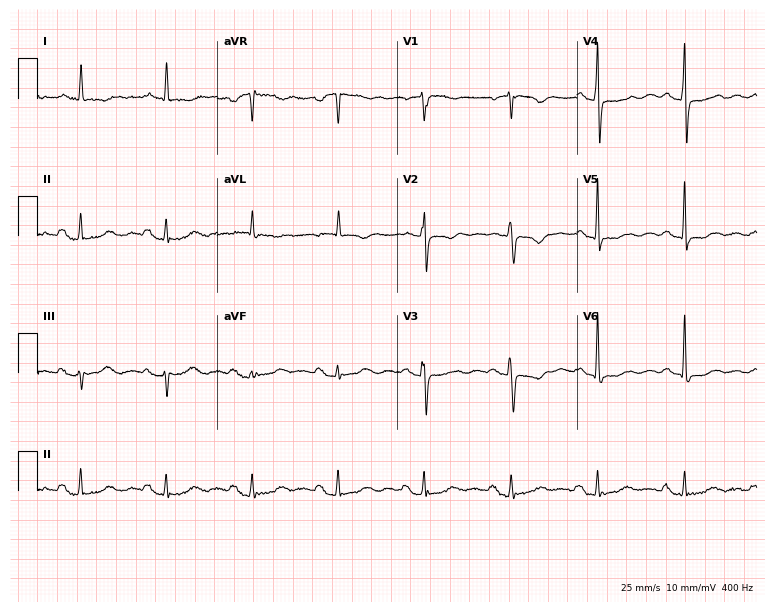
Standard 12-lead ECG recorded from a 78-year-old female patient (7.3-second recording at 400 Hz). None of these six findings is recorded: first-degree AV block, right bundle branch block (RBBB), left bundle branch block (LBBB), sinus bradycardia, atrial fibrillation (AF), sinus tachycardia. Findings outside these six are not listed.